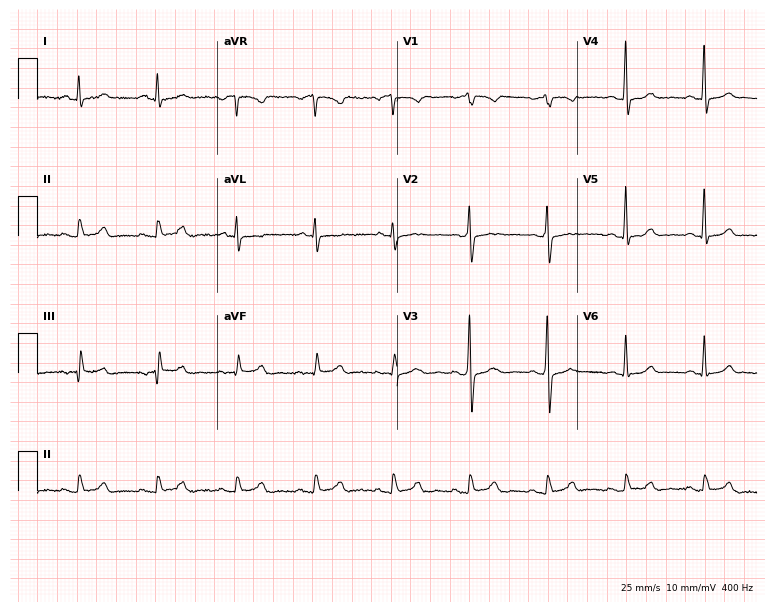
Standard 12-lead ECG recorded from a 46-year-old male. Read as a normal ECG.